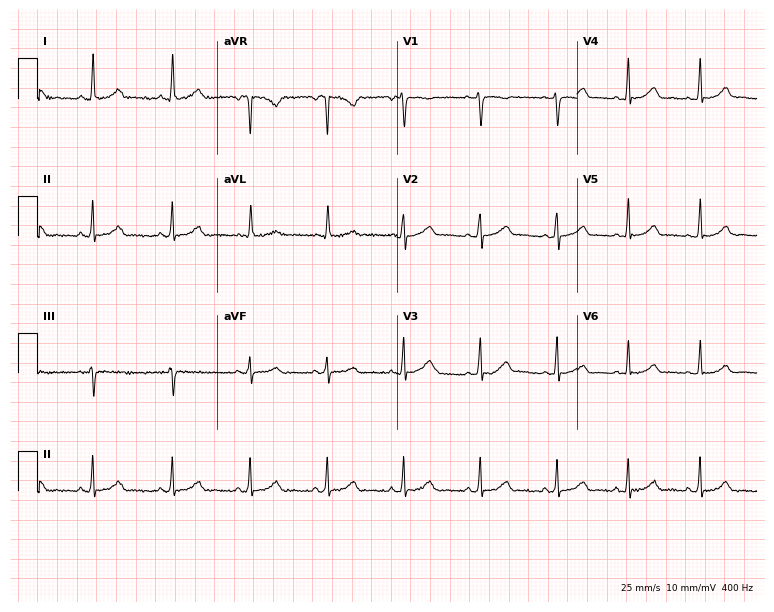
Electrocardiogram, a 20-year-old woman. Overall reading on record: normal ECG.